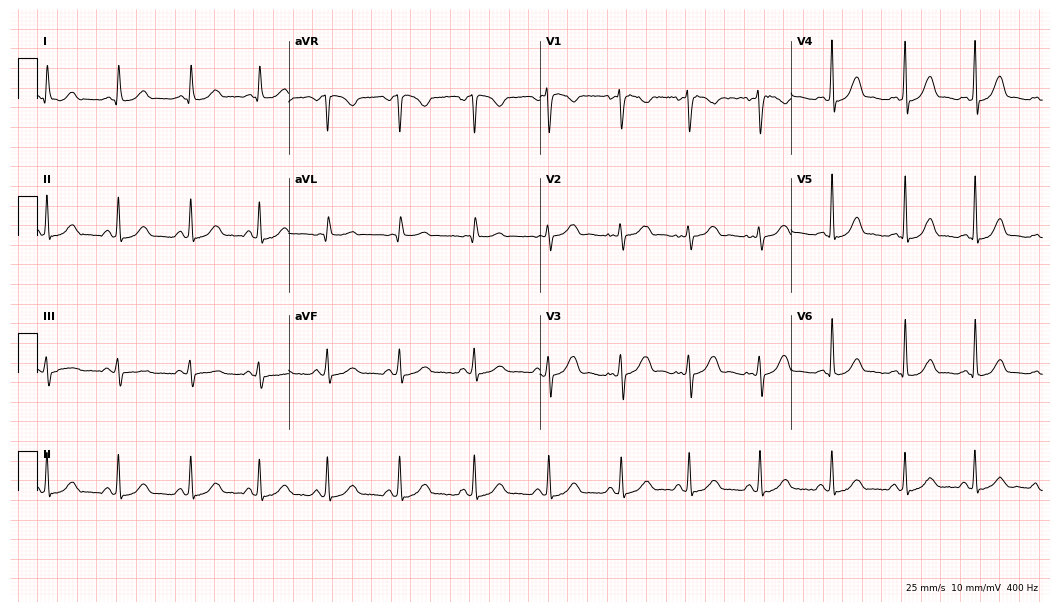
ECG (10.2-second recording at 400 Hz) — a woman, 33 years old. Labelled as a normal ECG.